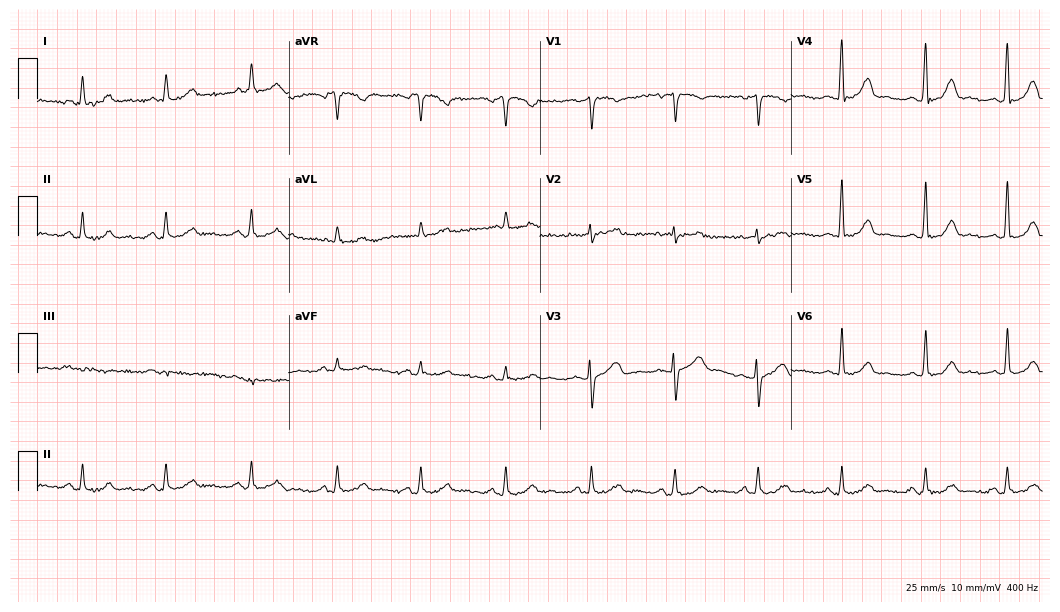
Standard 12-lead ECG recorded from a female, 66 years old (10.2-second recording at 400 Hz). Read as a normal ECG.